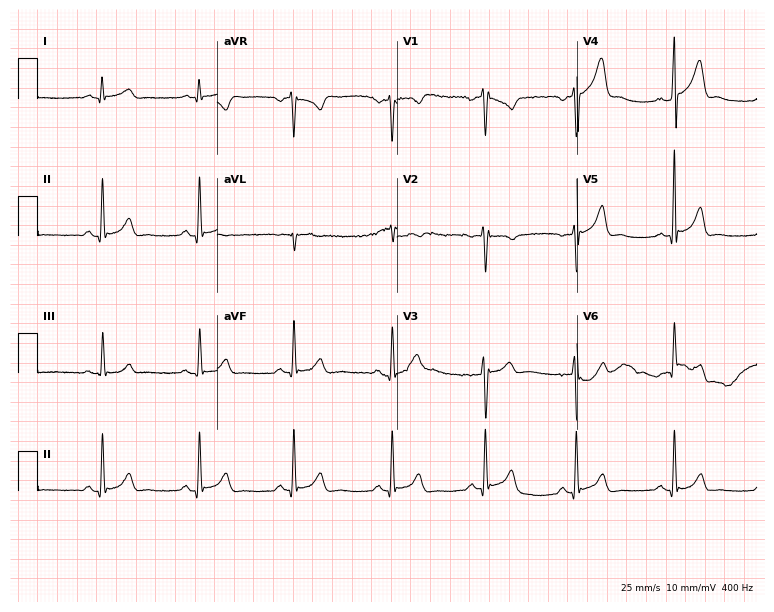
Standard 12-lead ECG recorded from a 39-year-old male patient (7.3-second recording at 400 Hz). None of these six findings is recorded: first-degree AV block, right bundle branch block (RBBB), left bundle branch block (LBBB), sinus bradycardia, atrial fibrillation (AF), sinus tachycardia. Only these six findings were labelled.